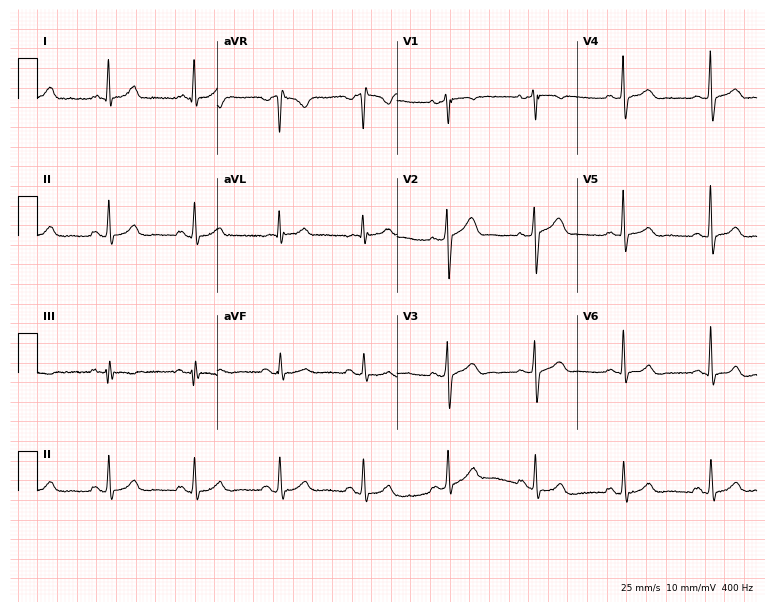
Electrocardiogram (7.3-second recording at 400 Hz), a 52-year-old male. Overall reading on record: normal ECG.